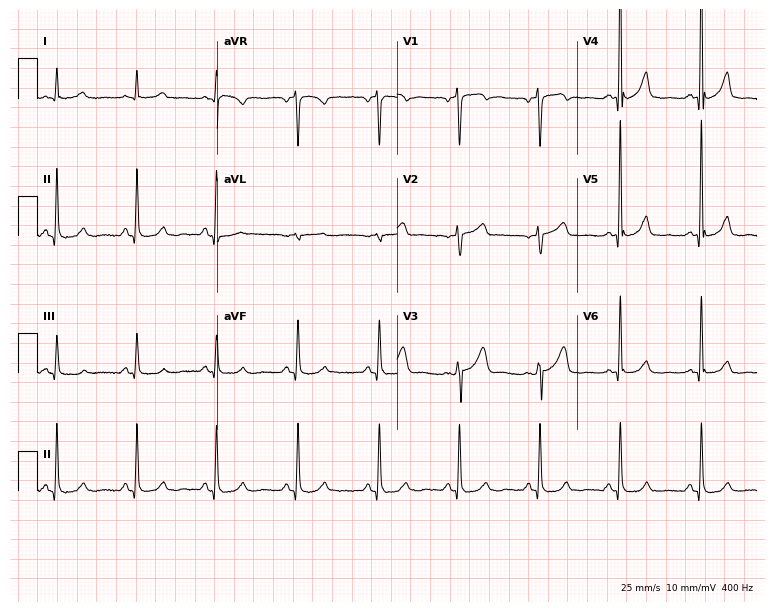
Electrocardiogram, a 49-year-old man. Of the six screened findings (first-degree AV block, right bundle branch block, left bundle branch block, sinus bradycardia, atrial fibrillation, sinus tachycardia), none is recorded.